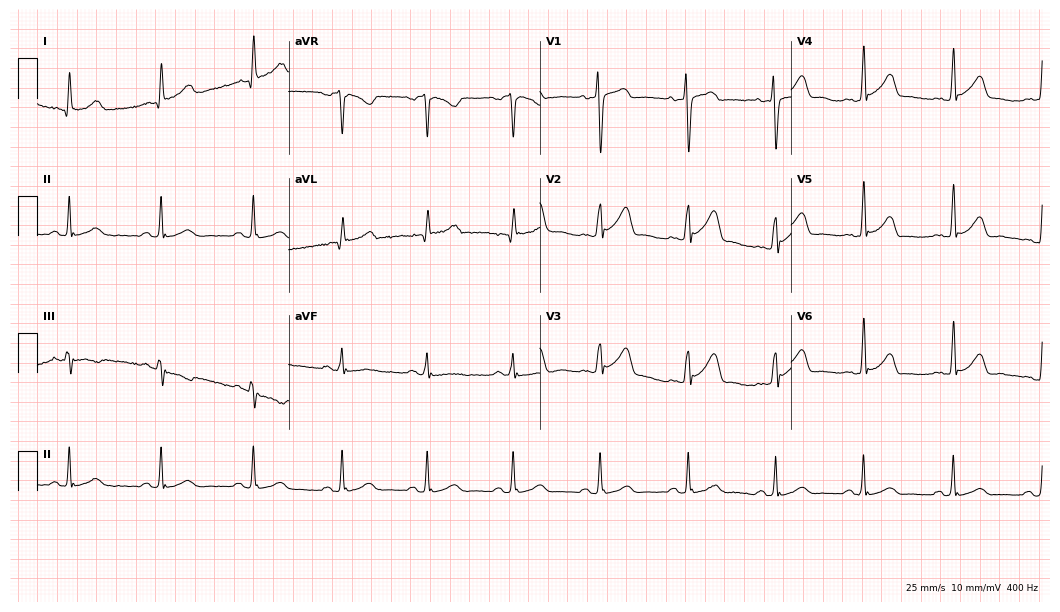
Electrocardiogram, a 42-year-old male patient. Overall reading on record: normal ECG.